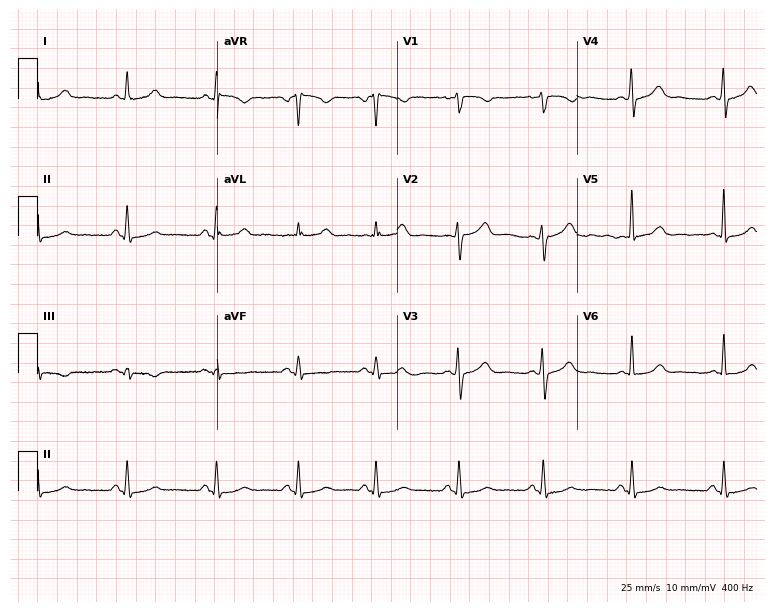
ECG — a 59-year-old woman. Screened for six findings — first-degree AV block, right bundle branch block (RBBB), left bundle branch block (LBBB), sinus bradycardia, atrial fibrillation (AF), sinus tachycardia — none is recorded. Findings outside these six are not listed.